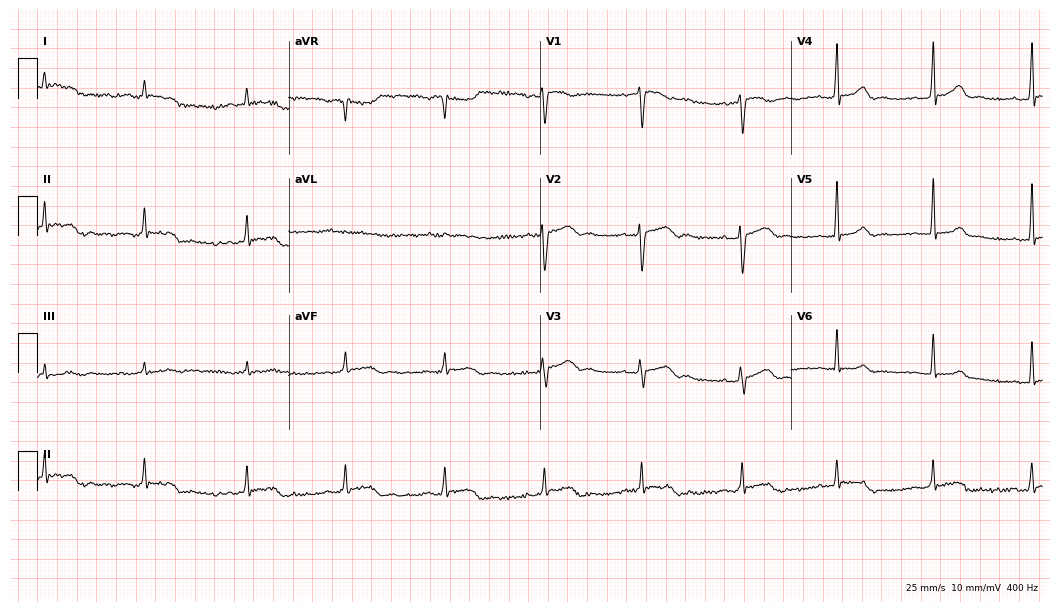
Electrocardiogram, a female patient, 40 years old. Of the six screened findings (first-degree AV block, right bundle branch block, left bundle branch block, sinus bradycardia, atrial fibrillation, sinus tachycardia), none is recorded.